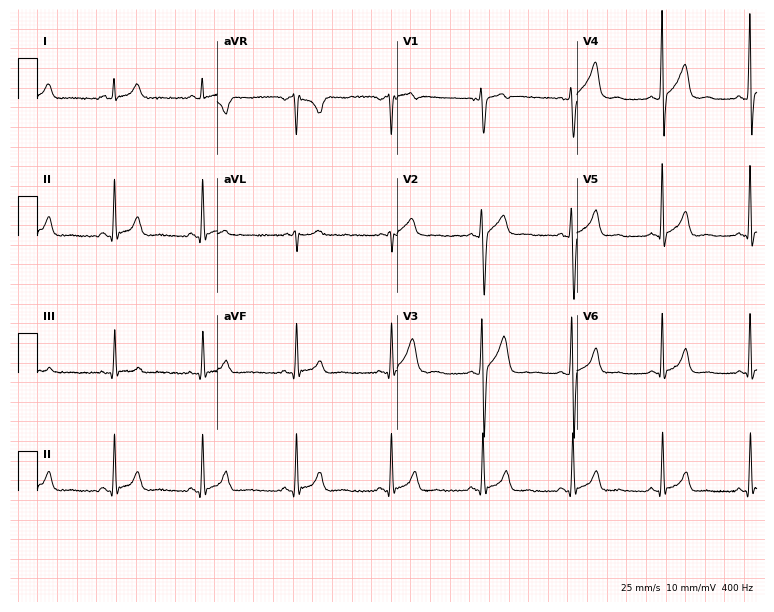
Electrocardiogram (7.3-second recording at 400 Hz), a 24-year-old male patient. Overall reading on record: normal ECG.